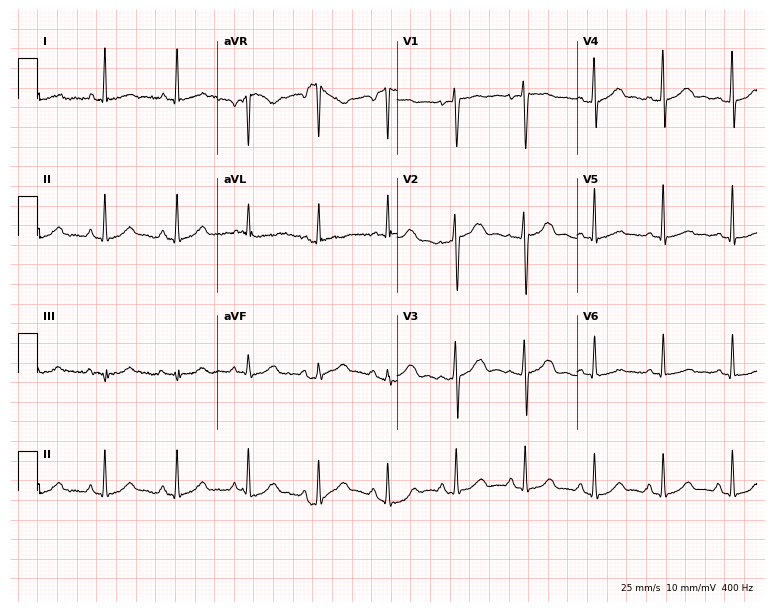
ECG — a woman, 33 years old. Screened for six findings — first-degree AV block, right bundle branch block (RBBB), left bundle branch block (LBBB), sinus bradycardia, atrial fibrillation (AF), sinus tachycardia — none is recorded.